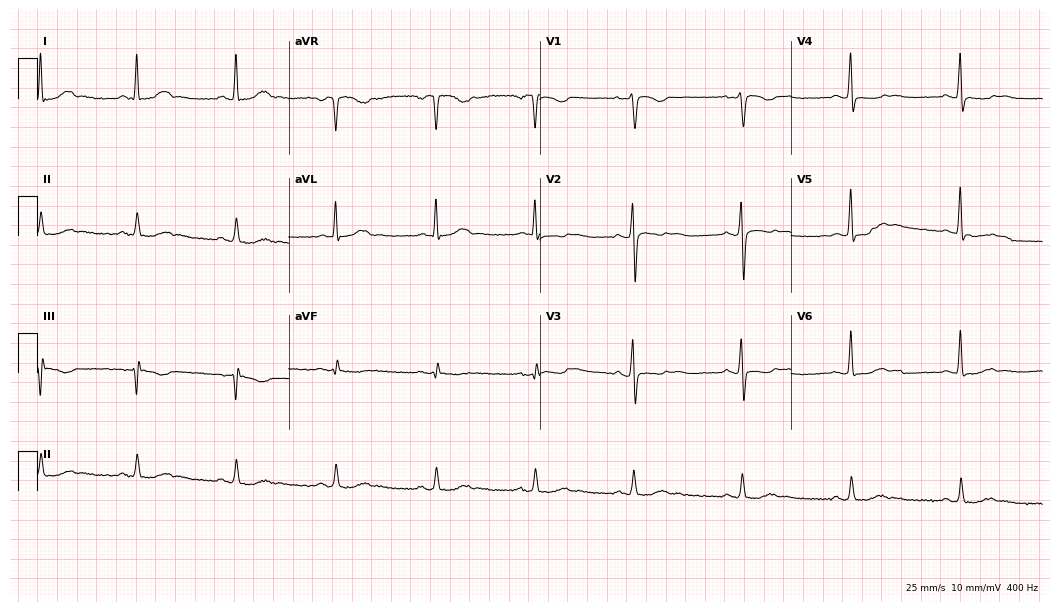
Resting 12-lead electrocardiogram. Patient: a 46-year-old woman. None of these six findings is recorded: first-degree AV block, right bundle branch block, left bundle branch block, sinus bradycardia, atrial fibrillation, sinus tachycardia. Findings outside these six are not listed.